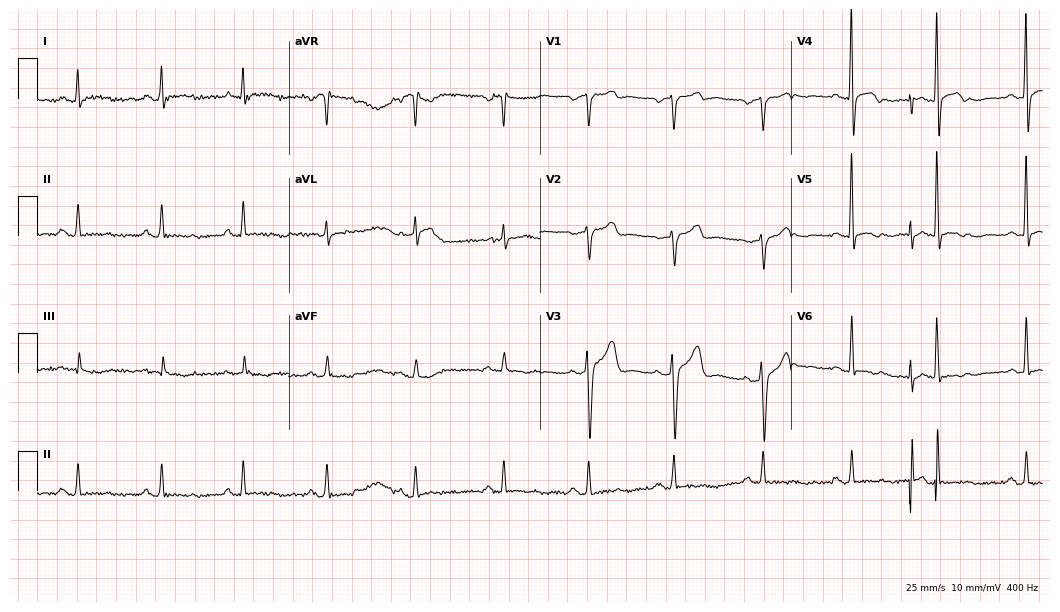
12-lead ECG (10.2-second recording at 400 Hz) from a man, 61 years old. Screened for six findings — first-degree AV block, right bundle branch block, left bundle branch block, sinus bradycardia, atrial fibrillation, sinus tachycardia — none is recorded.